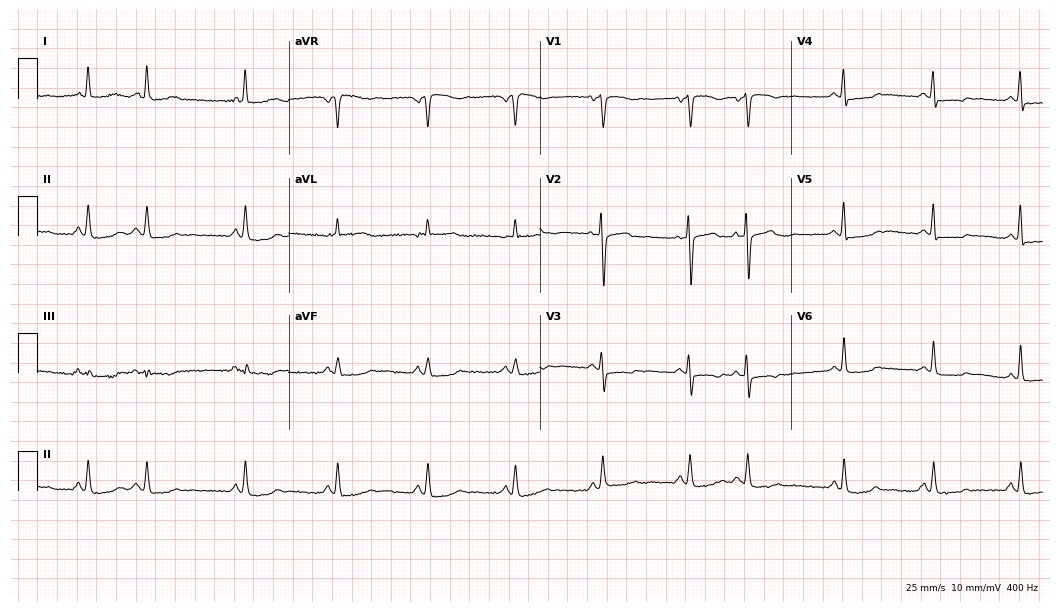
Resting 12-lead electrocardiogram. Patient: a female, 71 years old. None of these six findings is recorded: first-degree AV block, right bundle branch block, left bundle branch block, sinus bradycardia, atrial fibrillation, sinus tachycardia. Other findings, if any, are not listed.